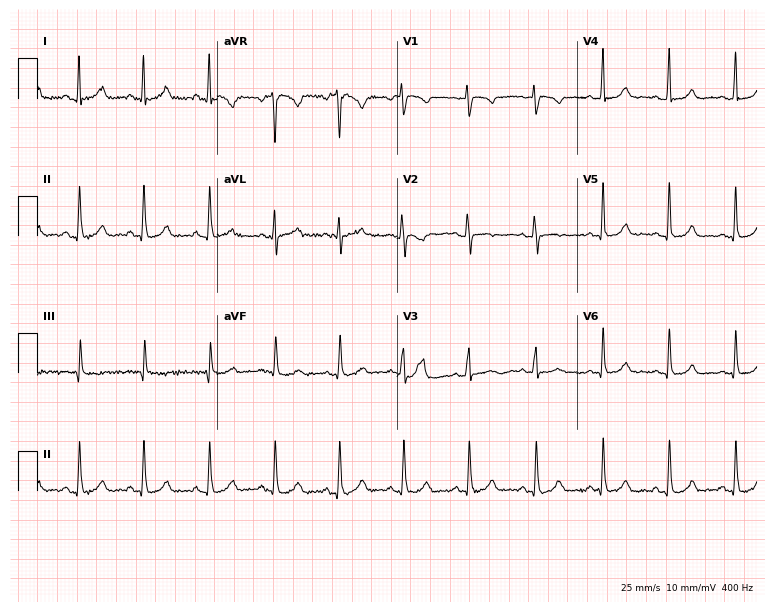
Electrocardiogram (7.3-second recording at 400 Hz), a 39-year-old female. Overall reading on record: normal ECG.